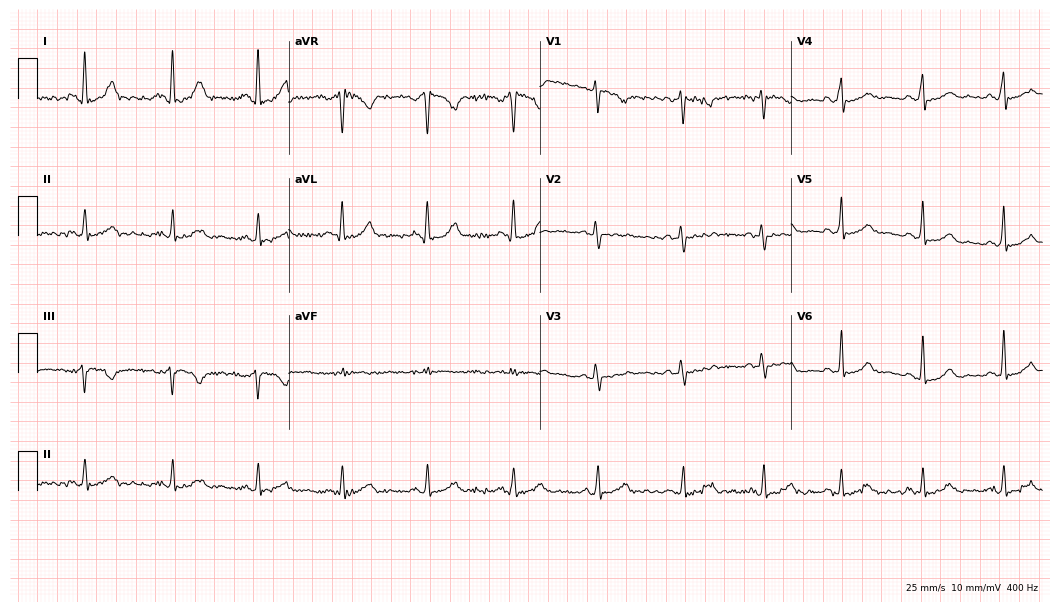
12-lead ECG (10.2-second recording at 400 Hz) from a 41-year-old female patient. Screened for six findings — first-degree AV block, right bundle branch block, left bundle branch block, sinus bradycardia, atrial fibrillation, sinus tachycardia — none is recorded.